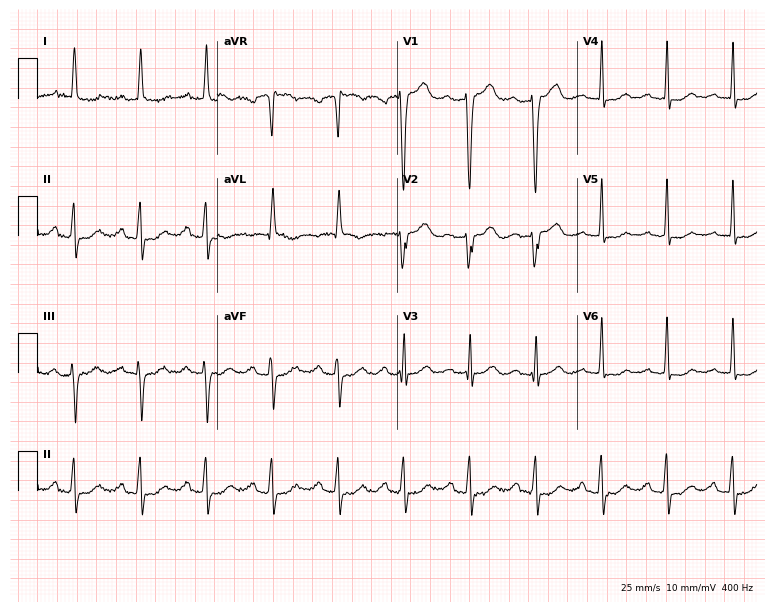
Standard 12-lead ECG recorded from an 80-year-old female. The tracing shows first-degree AV block.